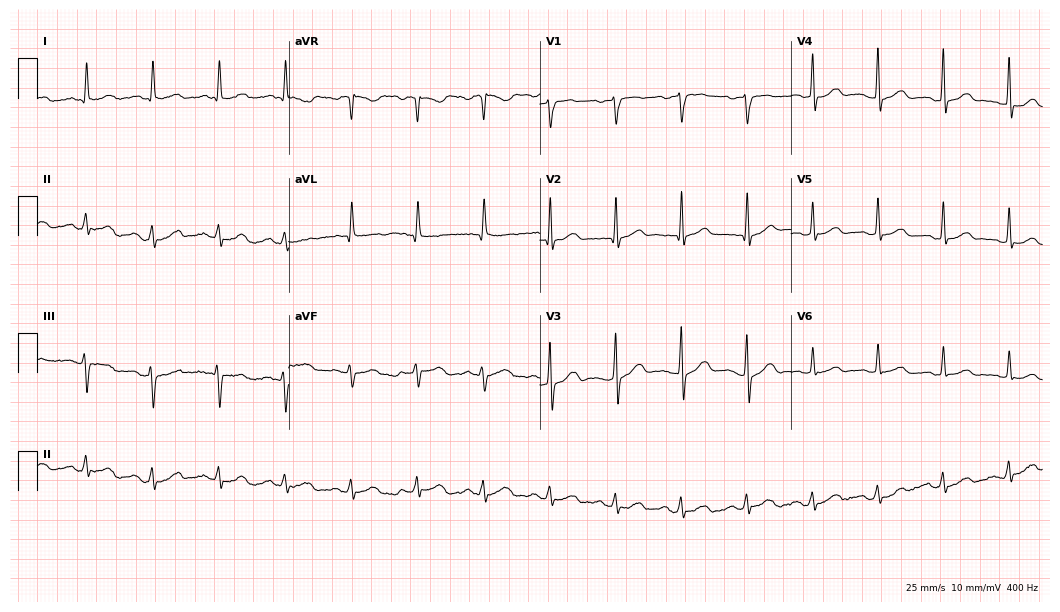
ECG (10.2-second recording at 400 Hz) — a 79-year-old male. Labelled as a normal ECG.